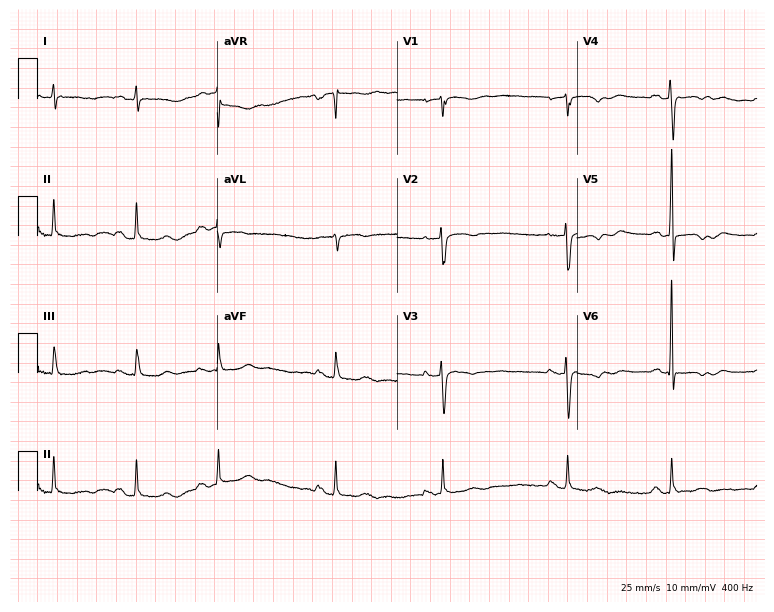
Electrocardiogram, a 68-year-old woman. Of the six screened findings (first-degree AV block, right bundle branch block, left bundle branch block, sinus bradycardia, atrial fibrillation, sinus tachycardia), none is recorded.